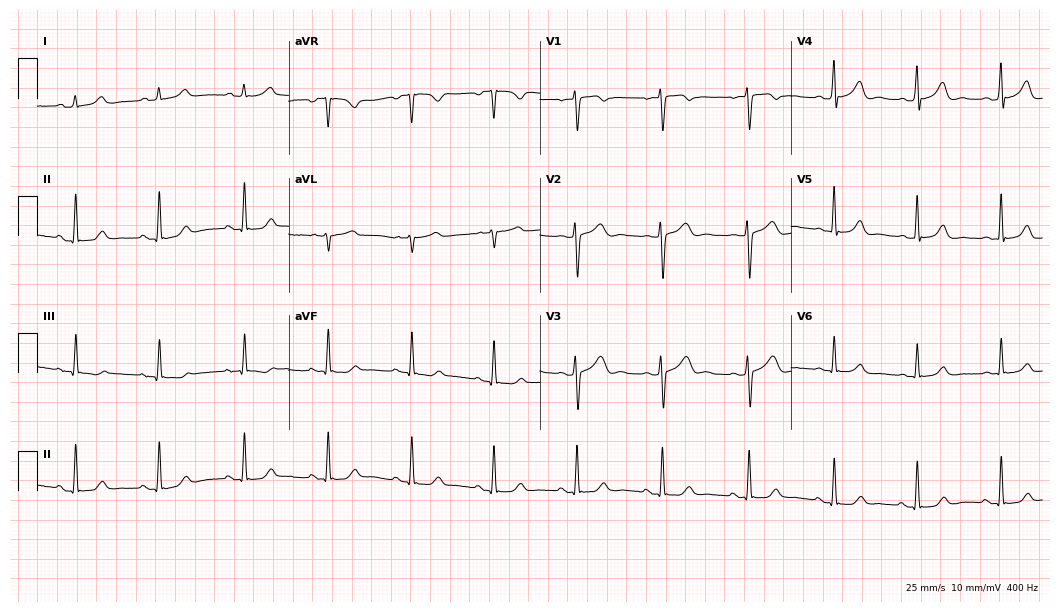
ECG (10.2-second recording at 400 Hz) — a 34-year-old female patient. Screened for six findings — first-degree AV block, right bundle branch block, left bundle branch block, sinus bradycardia, atrial fibrillation, sinus tachycardia — none is recorded.